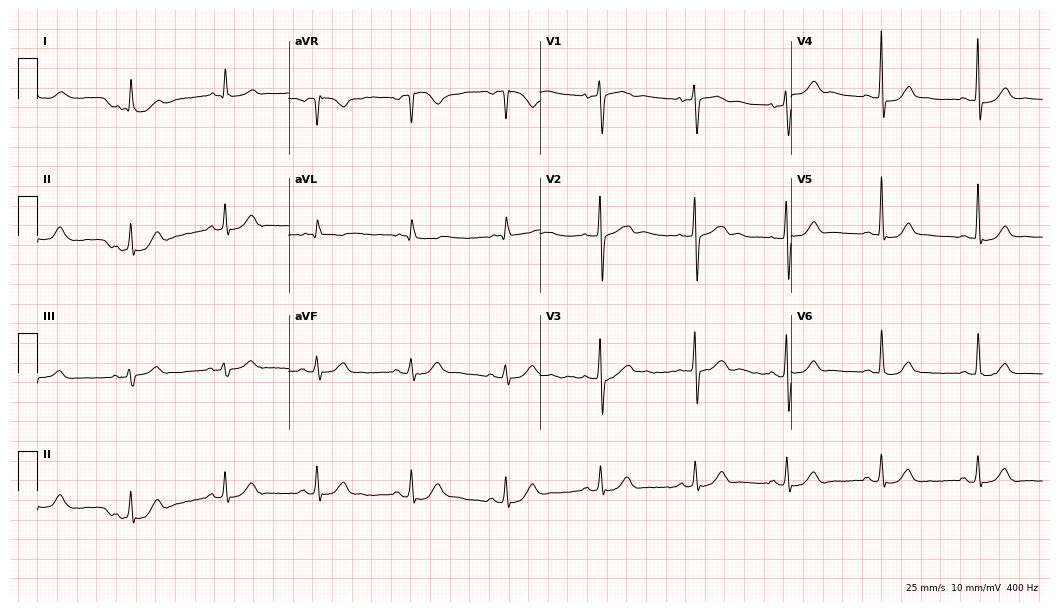
Standard 12-lead ECG recorded from a 75-year-old woman. Read as a normal ECG.